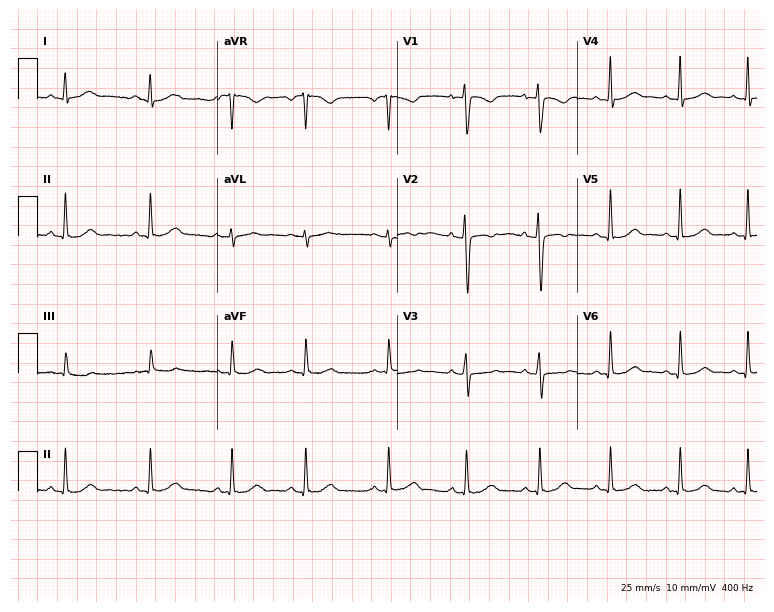
12-lead ECG from a 39-year-old woman. Labelled as a normal ECG.